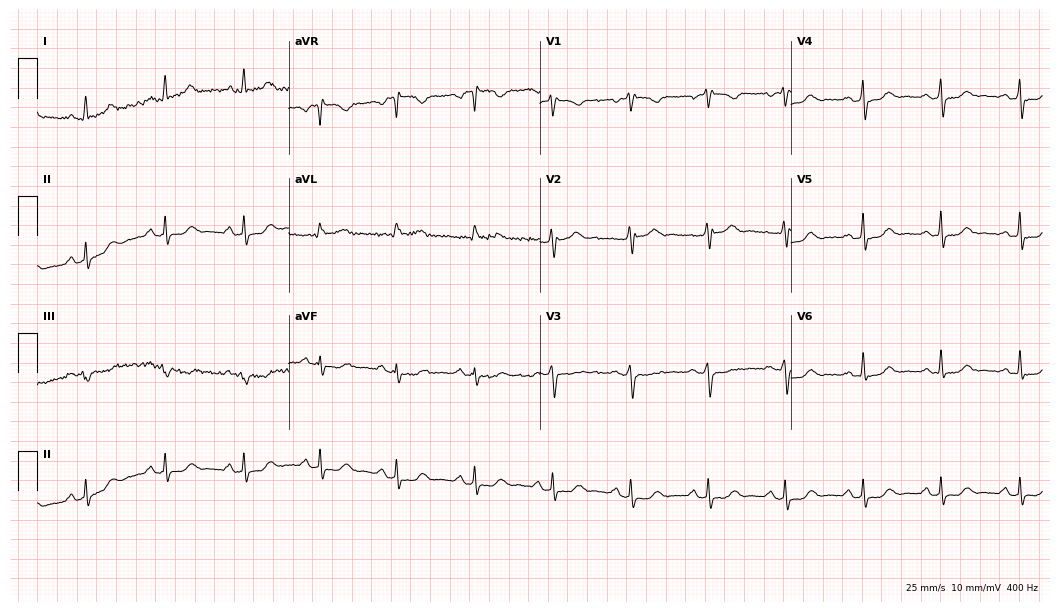
Standard 12-lead ECG recorded from a 62-year-old female patient. Read as a normal ECG.